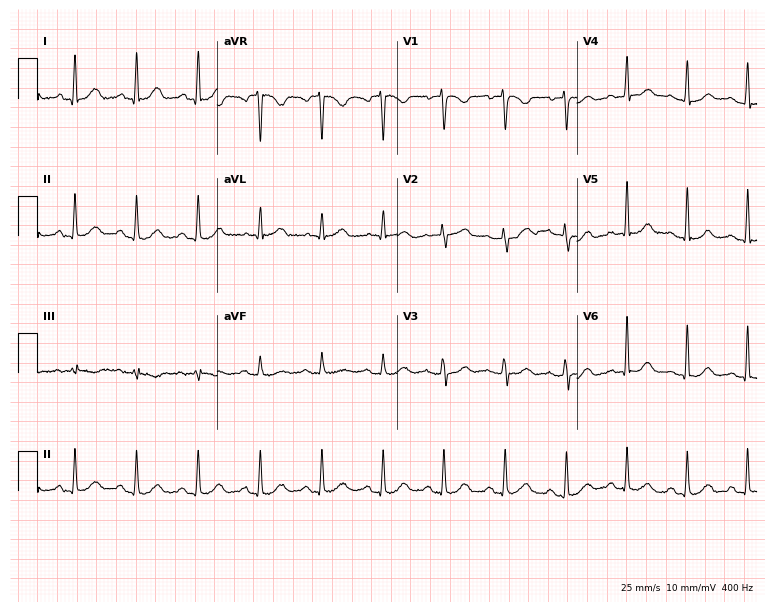
12-lead ECG from a female, 49 years old. Recorded interpretation: within normal limits.